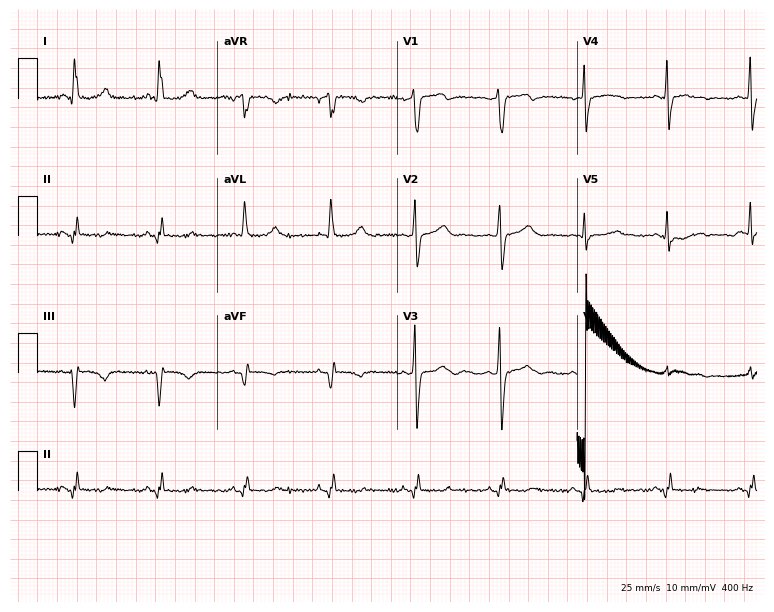
Standard 12-lead ECG recorded from a man, 48 years old. None of these six findings is recorded: first-degree AV block, right bundle branch block (RBBB), left bundle branch block (LBBB), sinus bradycardia, atrial fibrillation (AF), sinus tachycardia. Findings outside these six are not listed.